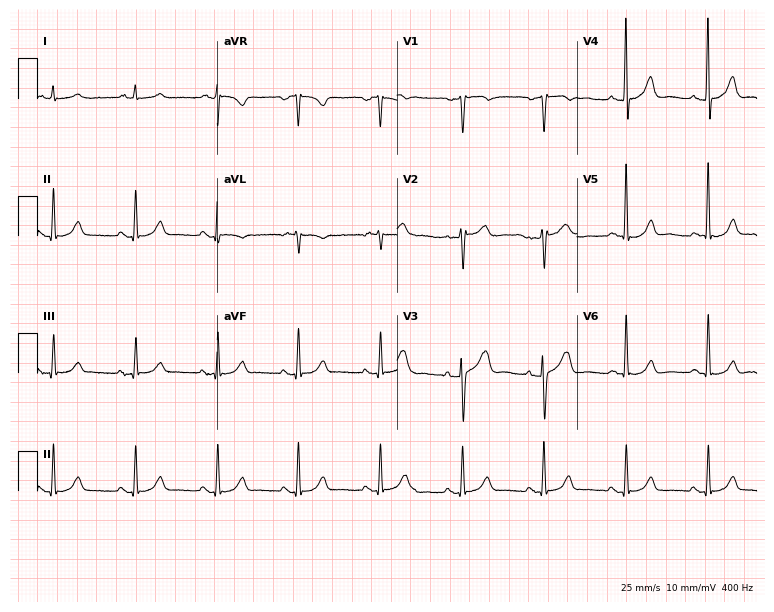
Standard 12-lead ECG recorded from a male, 70 years old. Read as a normal ECG.